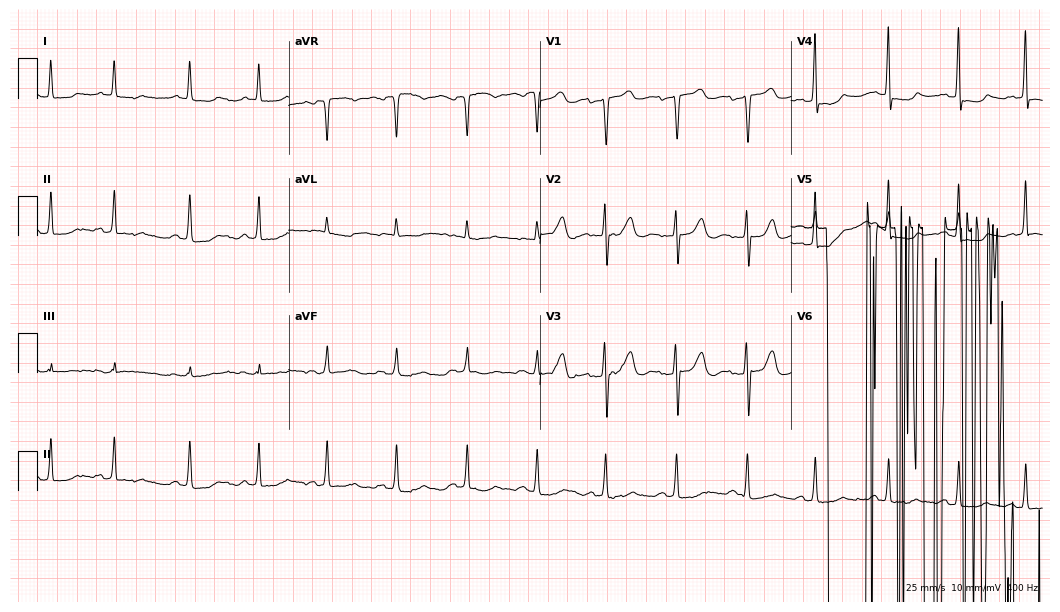
ECG (10.2-second recording at 400 Hz) — an 83-year-old woman. Screened for six findings — first-degree AV block, right bundle branch block (RBBB), left bundle branch block (LBBB), sinus bradycardia, atrial fibrillation (AF), sinus tachycardia — none is recorded.